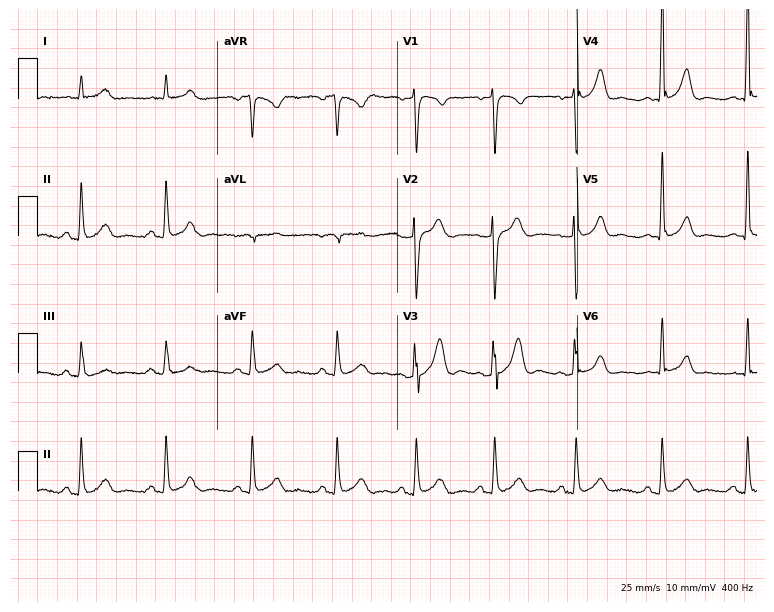
Standard 12-lead ECG recorded from a 40-year-old male patient. None of these six findings is recorded: first-degree AV block, right bundle branch block, left bundle branch block, sinus bradycardia, atrial fibrillation, sinus tachycardia. Only these six findings were labelled.